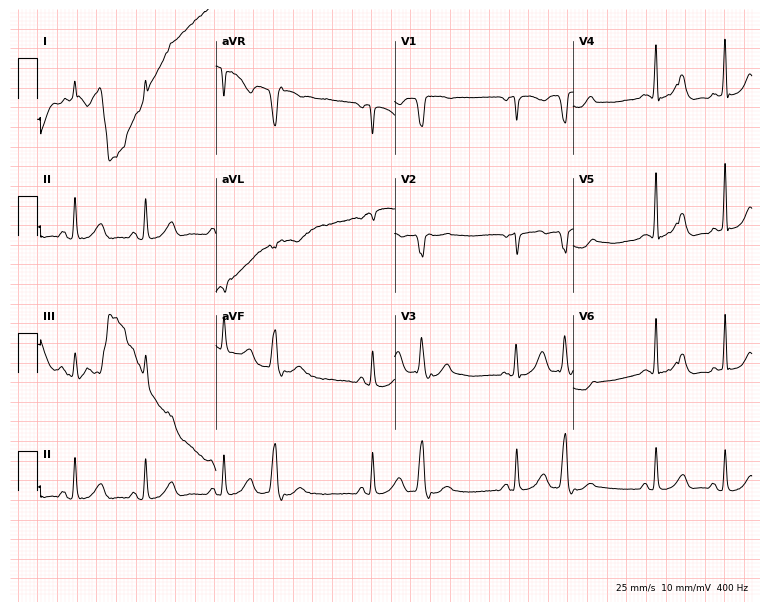
Standard 12-lead ECG recorded from a male patient, 74 years old (7.3-second recording at 400 Hz). None of these six findings is recorded: first-degree AV block, right bundle branch block, left bundle branch block, sinus bradycardia, atrial fibrillation, sinus tachycardia.